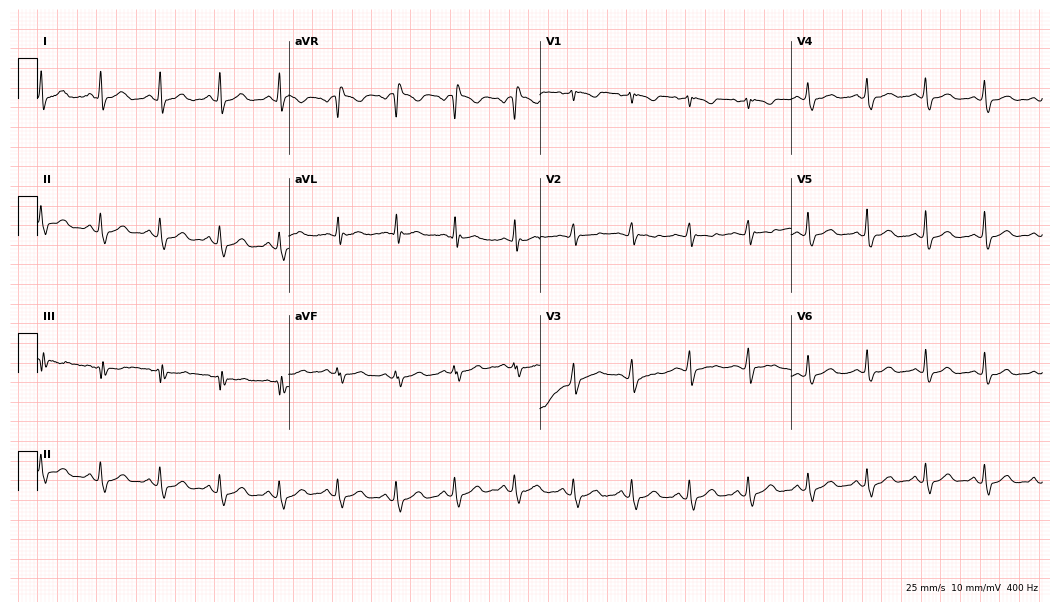
ECG — a woman, 46 years old. Screened for six findings — first-degree AV block, right bundle branch block, left bundle branch block, sinus bradycardia, atrial fibrillation, sinus tachycardia — none is recorded. Findings outside these six are not listed.